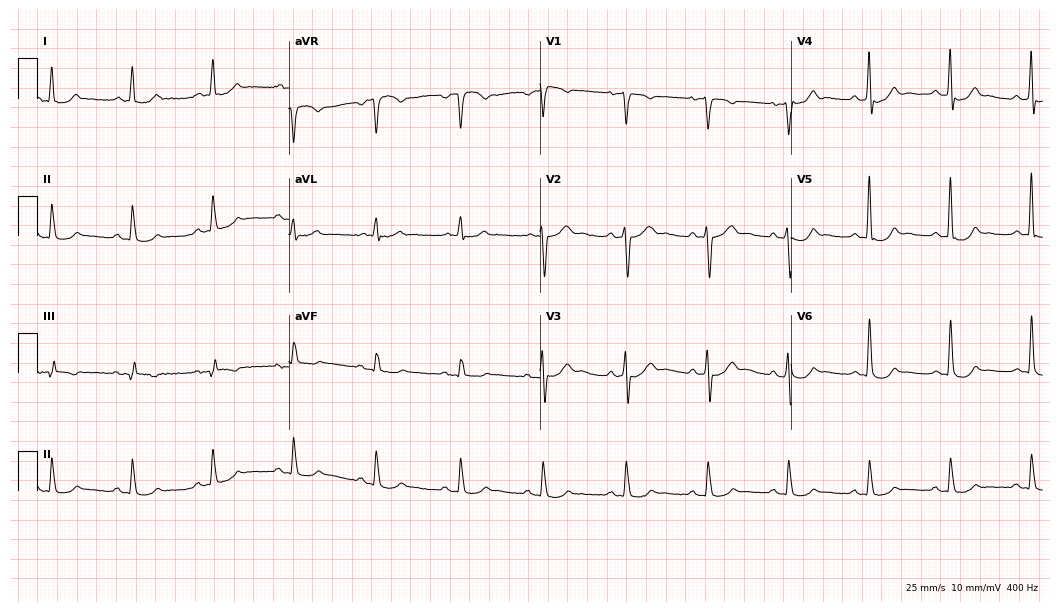
12-lead ECG from a 65-year-old male patient (10.2-second recording at 400 Hz). Recorded interpretation: within normal limits.